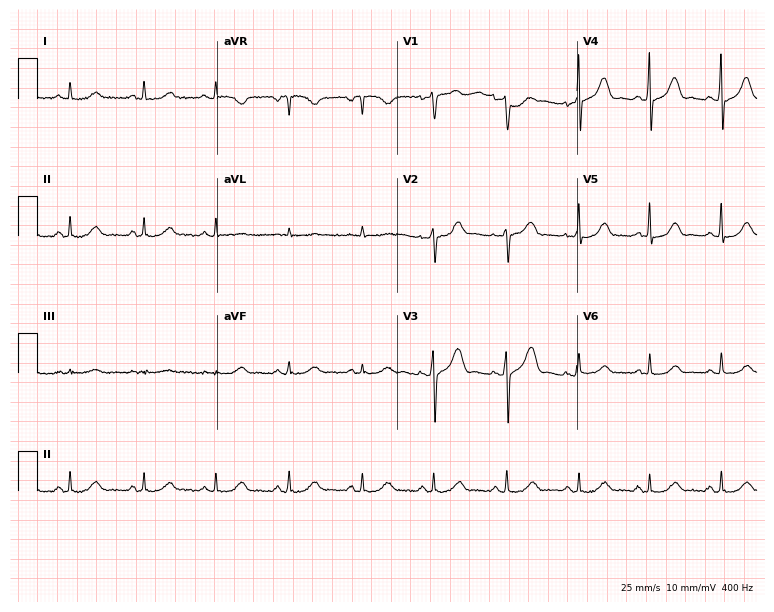
12-lead ECG (7.3-second recording at 400 Hz) from a woman, 62 years old. Labelled as a normal ECG.